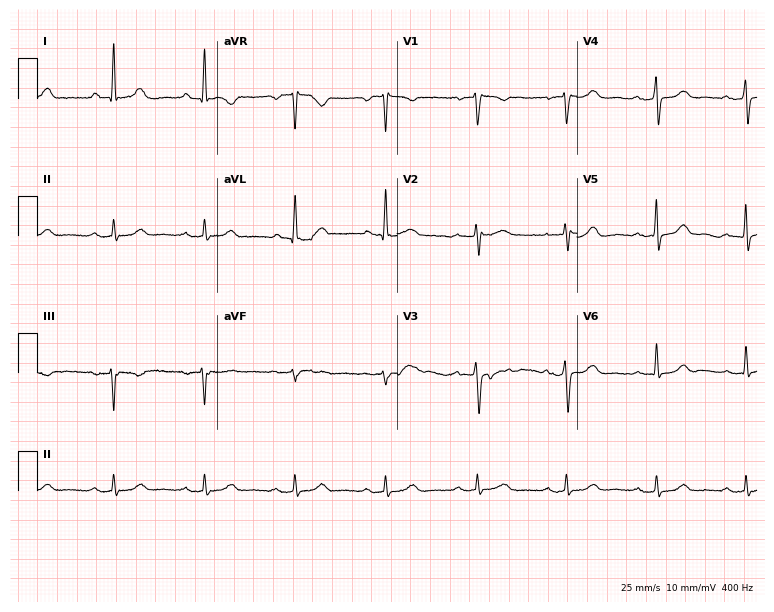
Resting 12-lead electrocardiogram (7.3-second recording at 400 Hz). Patient: a woman, 53 years old. None of these six findings is recorded: first-degree AV block, right bundle branch block, left bundle branch block, sinus bradycardia, atrial fibrillation, sinus tachycardia.